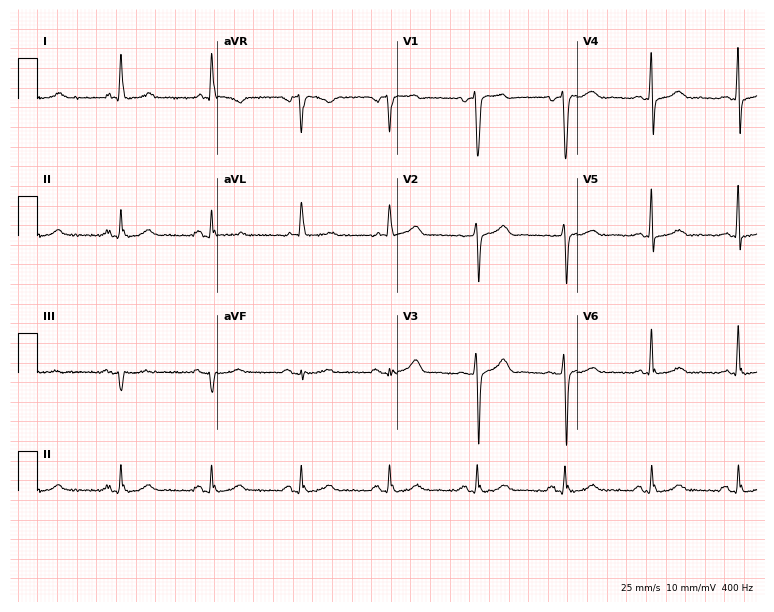
12-lead ECG (7.3-second recording at 400 Hz) from a man, 81 years old. Labelled as a normal ECG.